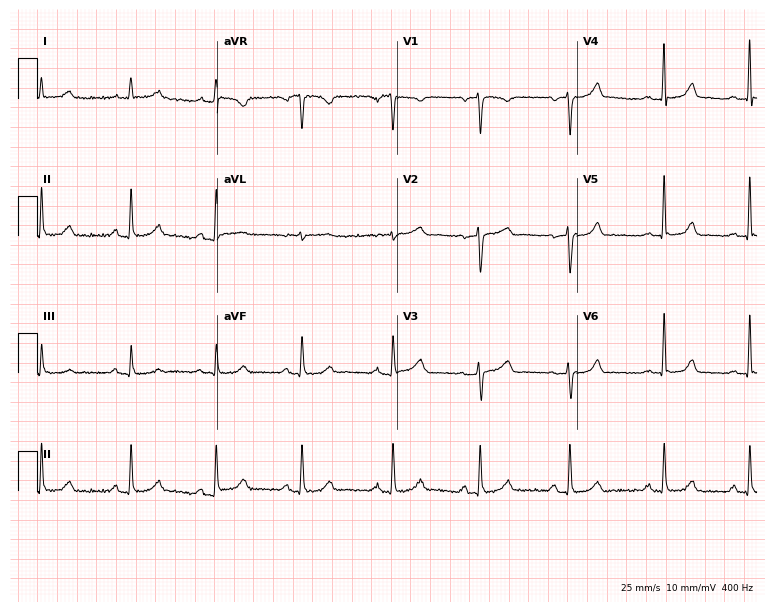
Resting 12-lead electrocardiogram (7.3-second recording at 400 Hz). Patient: a woman, 39 years old. None of these six findings is recorded: first-degree AV block, right bundle branch block, left bundle branch block, sinus bradycardia, atrial fibrillation, sinus tachycardia.